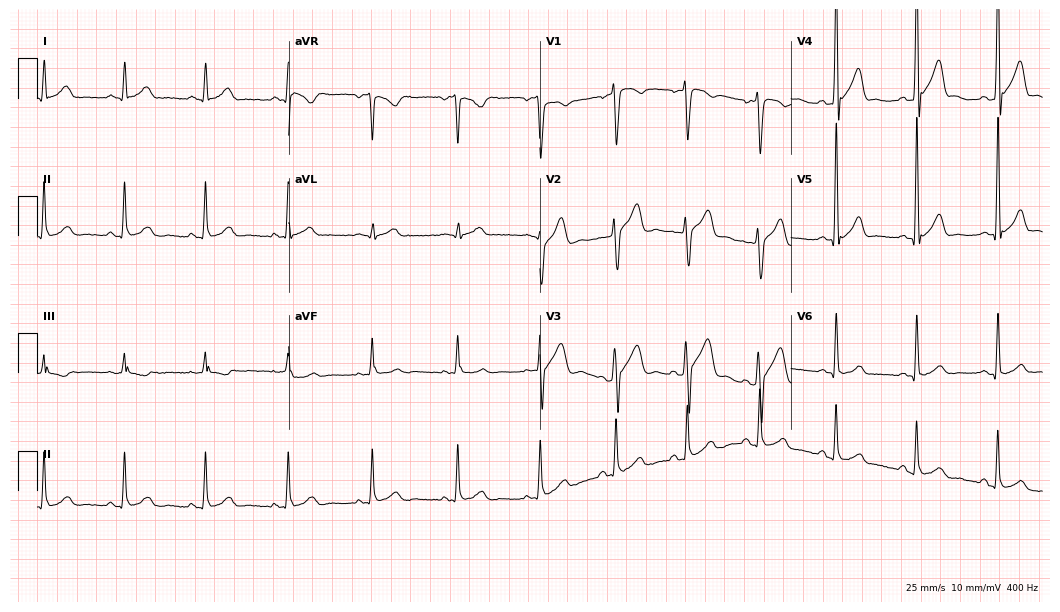
12-lead ECG from a man, 24 years old (10.2-second recording at 400 Hz). No first-degree AV block, right bundle branch block, left bundle branch block, sinus bradycardia, atrial fibrillation or sinus tachycardia recorded for this tracing. Findings outside these six are not listed.